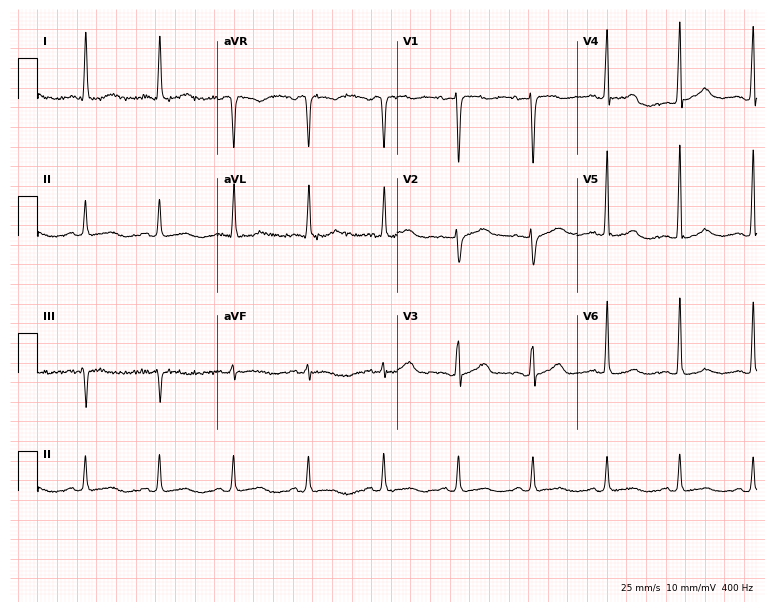
12-lead ECG from a 72-year-old female patient. Labelled as a normal ECG.